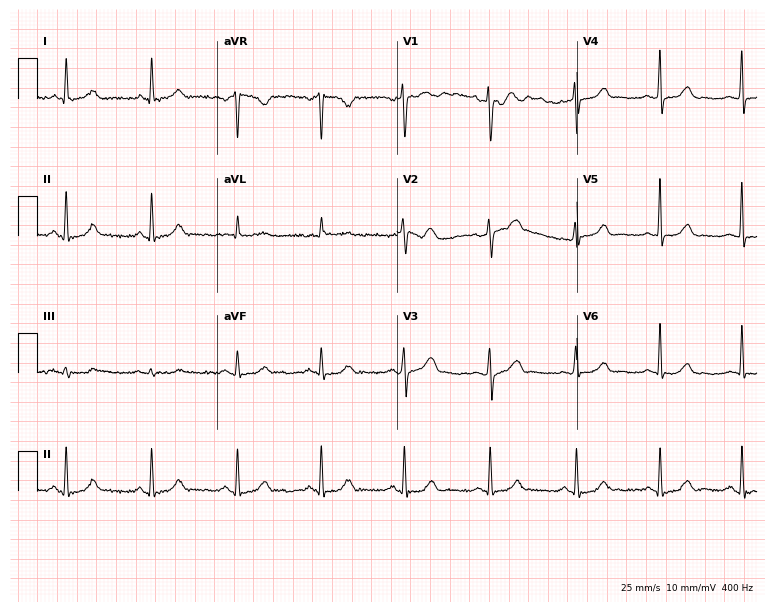
12-lead ECG from a woman, 36 years old. No first-degree AV block, right bundle branch block, left bundle branch block, sinus bradycardia, atrial fibrillation or sinus tachycardia recorded for this tracing. Findings outside these six are not listed.